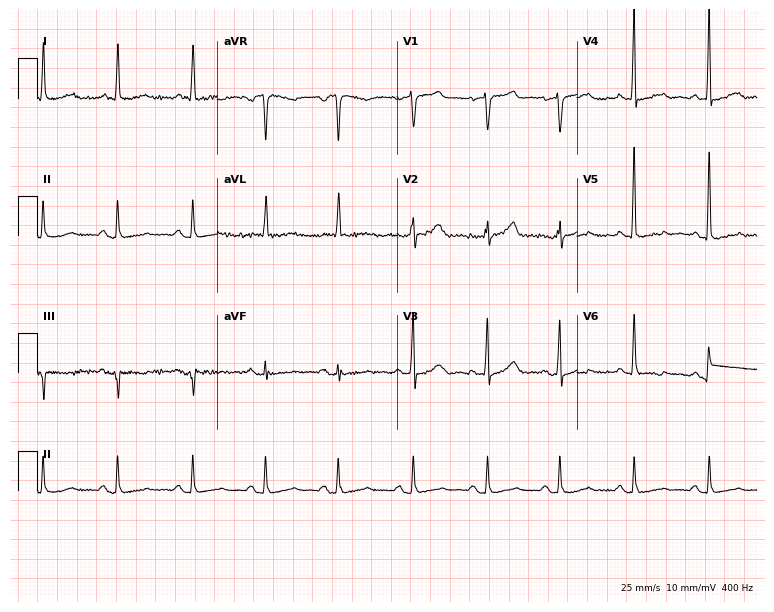
ECG — a female, 74 years old. Screened for six findings — first-degree AV block, right bundle branch block, left bundle branch block, sinus bradycardia, atrial fibrillation, sinus tachycardia — none is recorded.